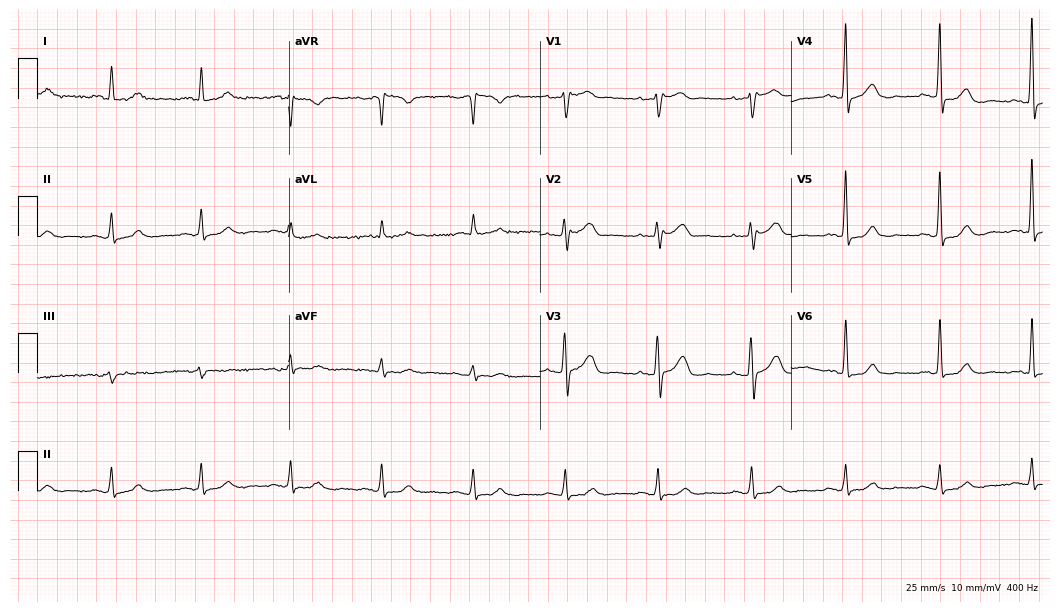
Standard 12-lead ECG recorded from an 80-year-old male patient. None of these six findings is recorded: first-degree AV block, right bundle branch block, left bundle branch block, sinus bradycardia, atrial fibrillation, sinus tachycardia.